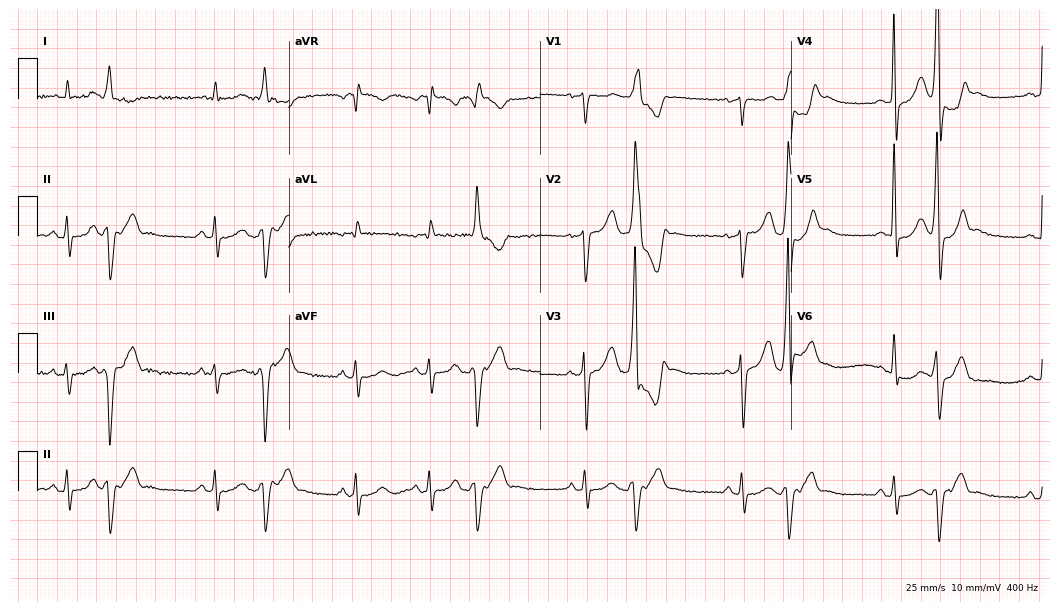
ECG — a 79-year-old man. Screened for six findings — first-degree AV block, right bundle branch block, left bundle branch block, sinus bradycardia, atrial fibrillation, sinus tachycardia — none is recorded. Other findings, if any, are not listed.